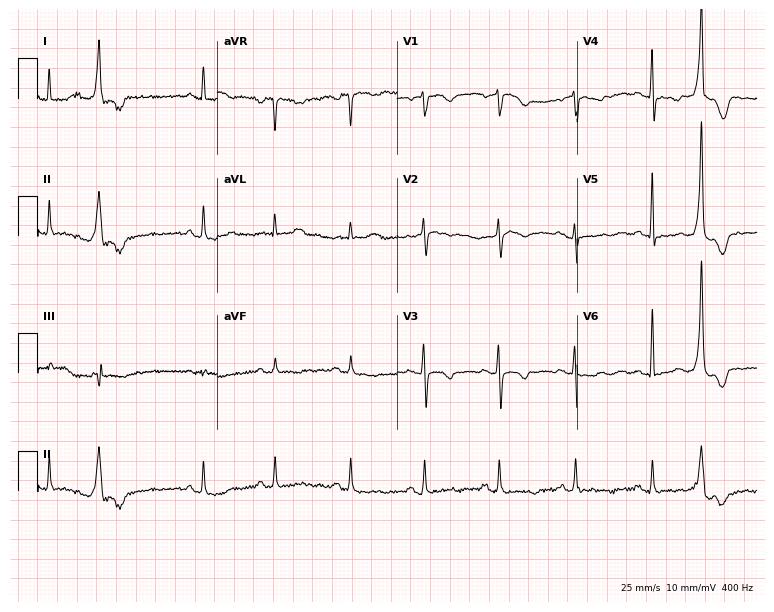
12-lead ECG from a female patient, 65 years old. No first-degree AV block, right bundle branch block, left bundle branch block, sinus bradycardia, atrial fibrillation or sinus tachycardia recorded for this tracing.